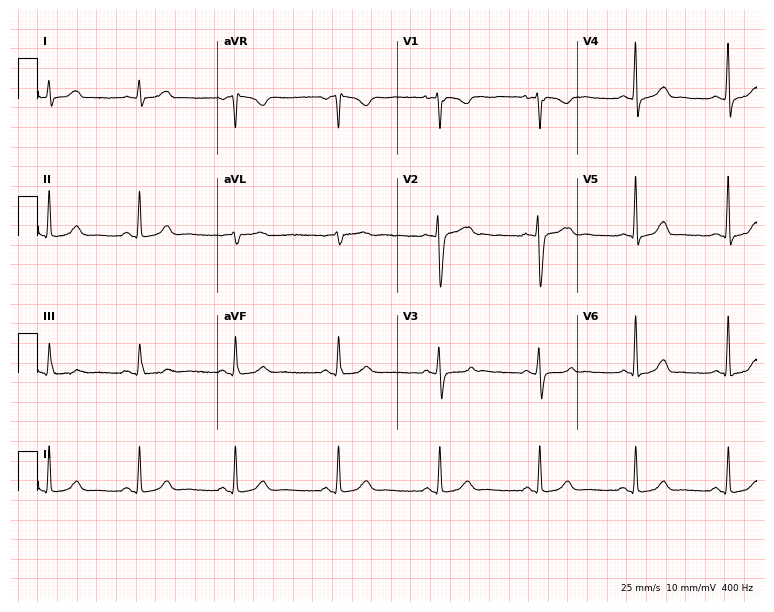
12-lead ECG from a 30-year-old female patient (7.3-second recording at 400 Hz). Recorded interpretation: within normal limits.